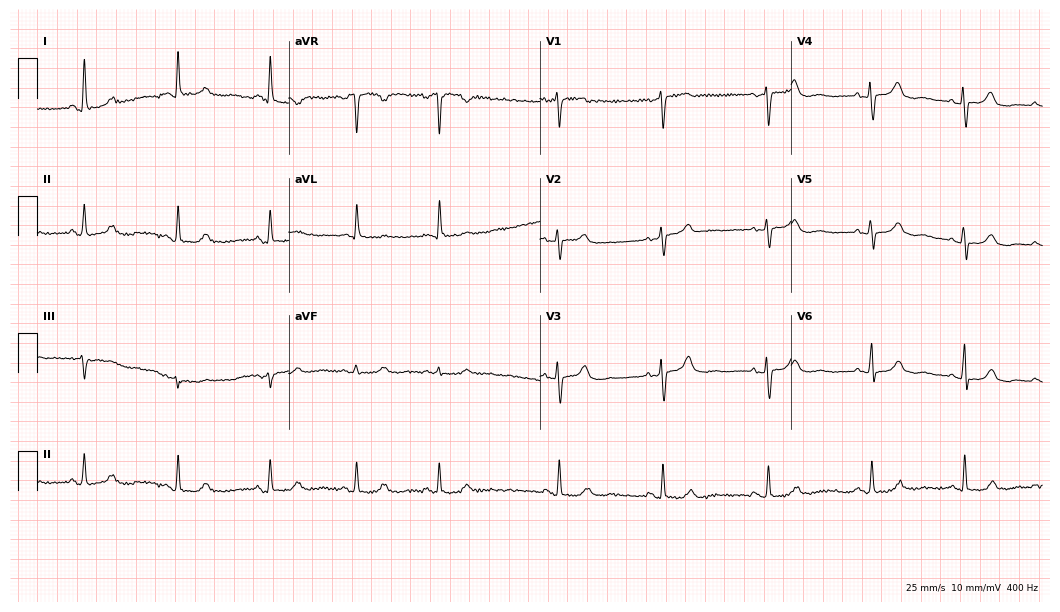
12-lead ECG from a female, 67 years old. Recorded interpretation: within normal limits.